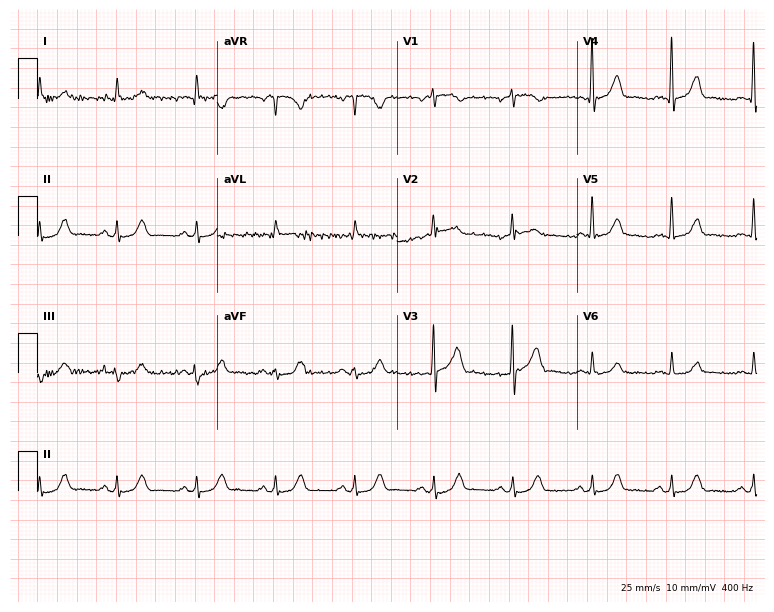
Electrocardiogram, a male, 75 years old. Overall reading on record: normal ECG.